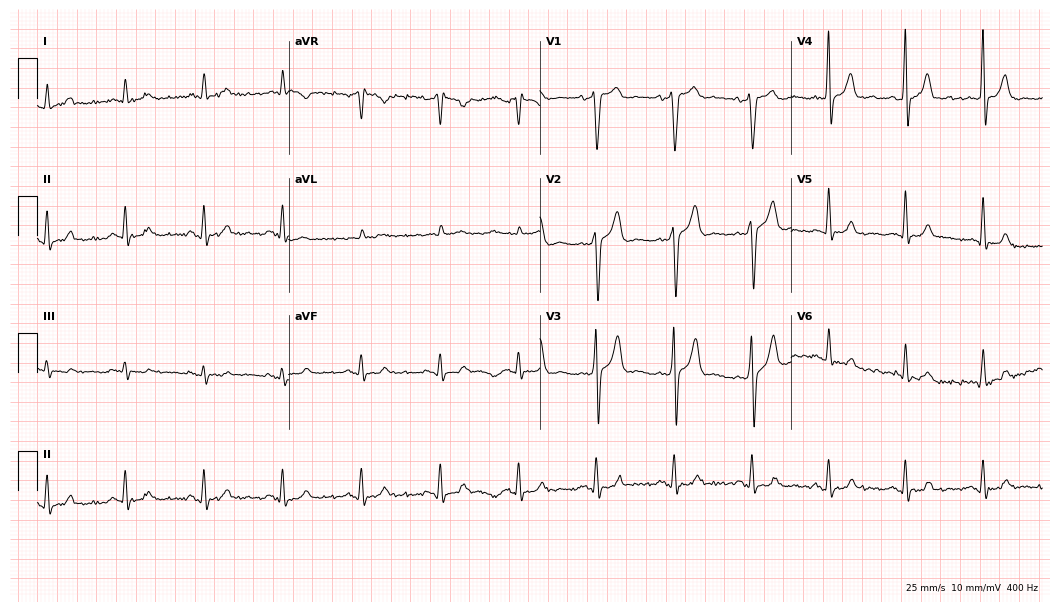
ECG (10.2-second recording at 400 Hz) — a male, 76 years old. Labelled as a normal ECG.